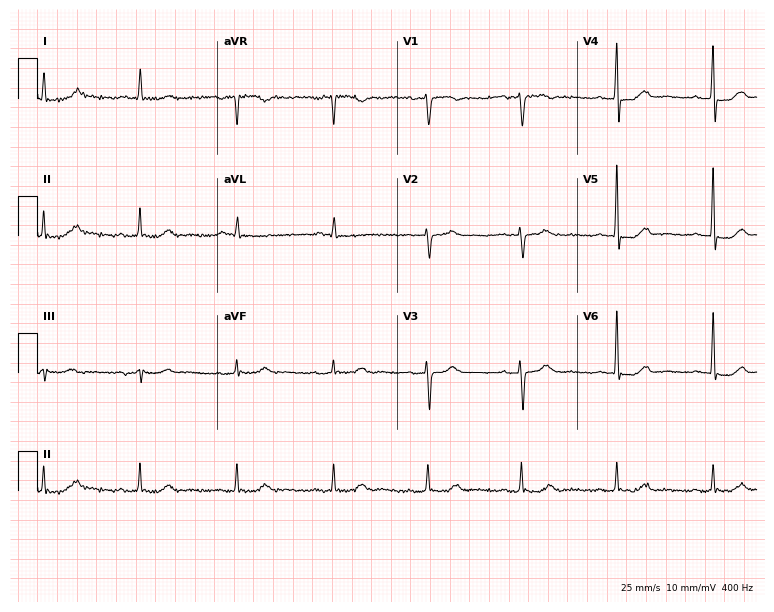
12-lead ECG from a woman, 67 years old. No first-degree AV block, right bundle branch block, left bundle branch block, sinus bradycardia, atrial fibrillation or sinus tachycardia recorded for this tracing. Findings outside these six are not listed.